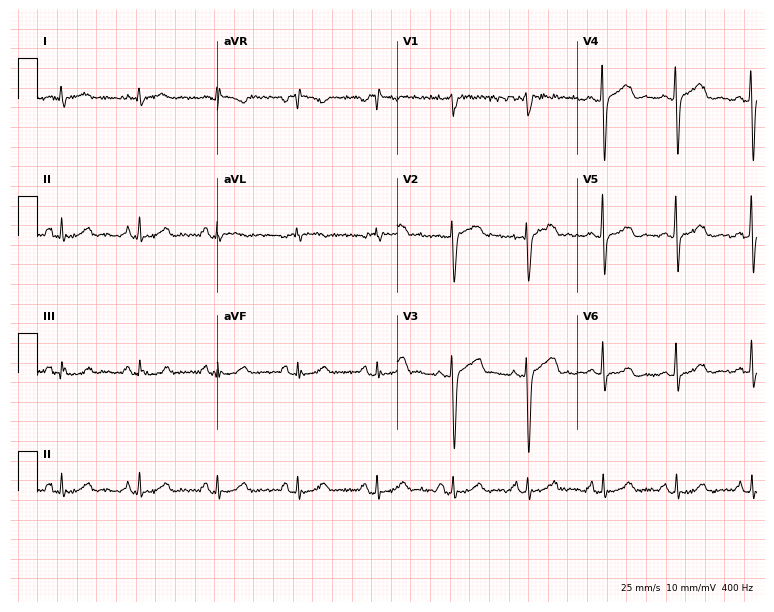
12-lead ECG from a 52-year-old woman. No first-degree AV block, right bundle branch block (RBBB), left bundle branch block (LBBB), sinus bradycardia, atrial fibrillation (AF) or sinus tachycardia recorded for this tracing. Only these six findings were labelled.